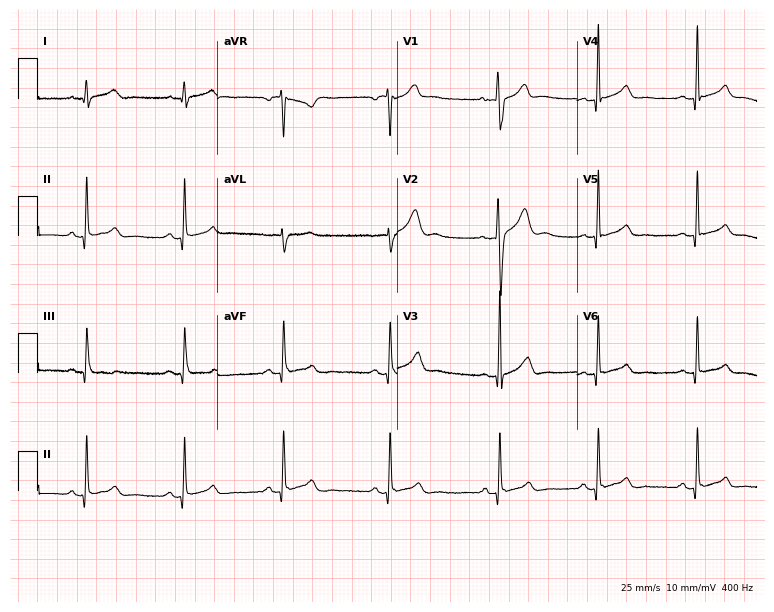
12-lead ECG from a man, 32 years old (7.3-second recording at 400 Hz). Recorded interpretation: within normal limits.